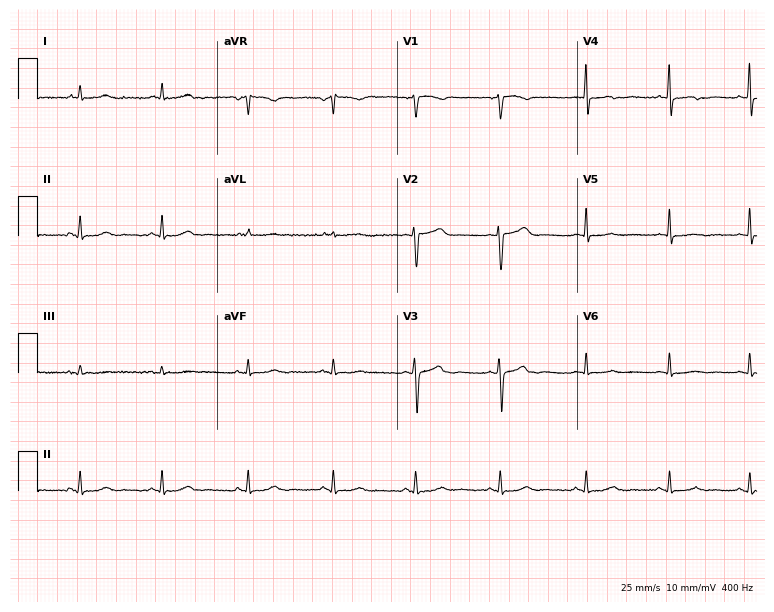
12-lead ECG from a female, 47 years old. Labelled as a normal ECG.